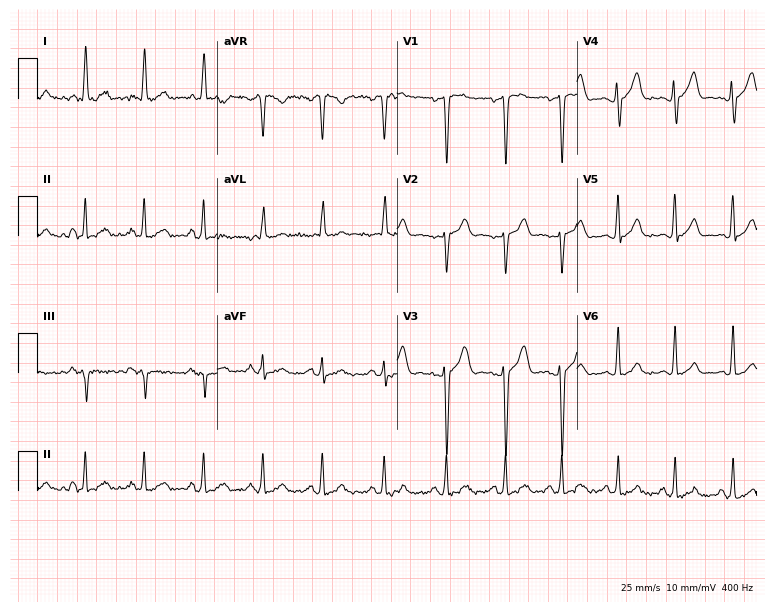
Electrocardiogram (7.3-second recording at 400 Hz), a male patient, 21 years old. Of the six screened findings (first-degree AV block, right bundle branch block (RBBB), left bundle branch block (LBBB), sinus bradycardia, atrial fibrillation (AF), sinus tachycardia), none is recorded.